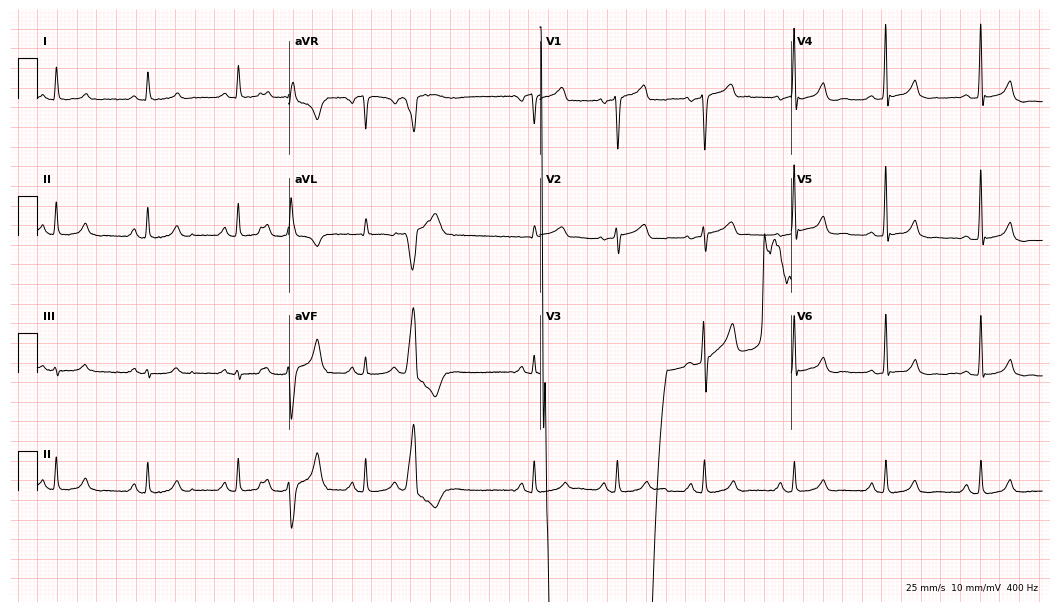
Electrocardiogram, a male, 60 years old. Of the six screened findings (first-degree AV block, right bundle branch block, left bundle branch block, sinus bradycardia, atrial fibrillation, sinus tachycardia), none is recorded.